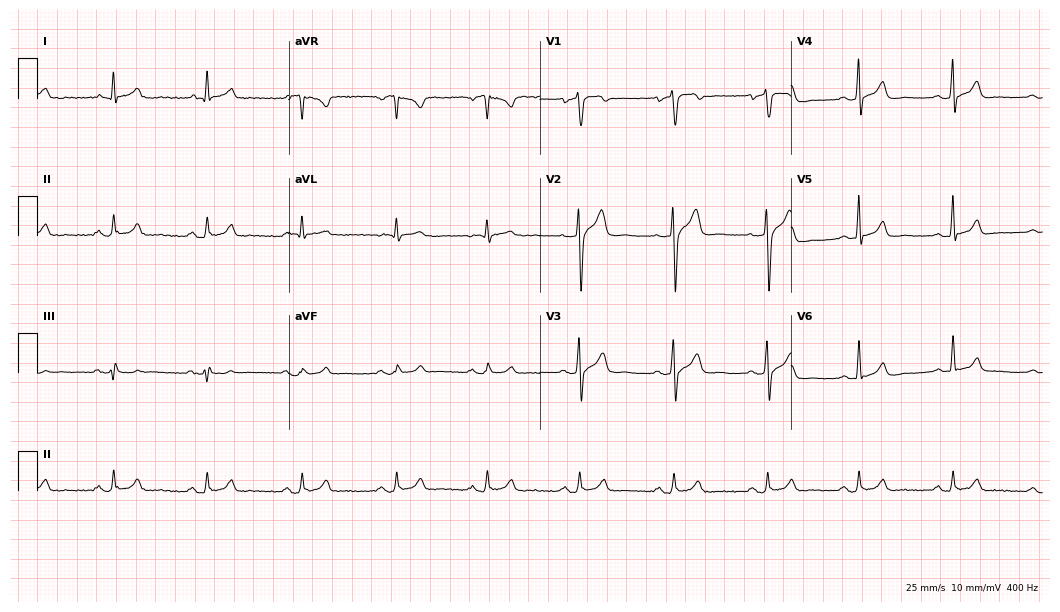
Electrocardiogram, a male patient, 51 years old. Overall reading on record: normal ECG.